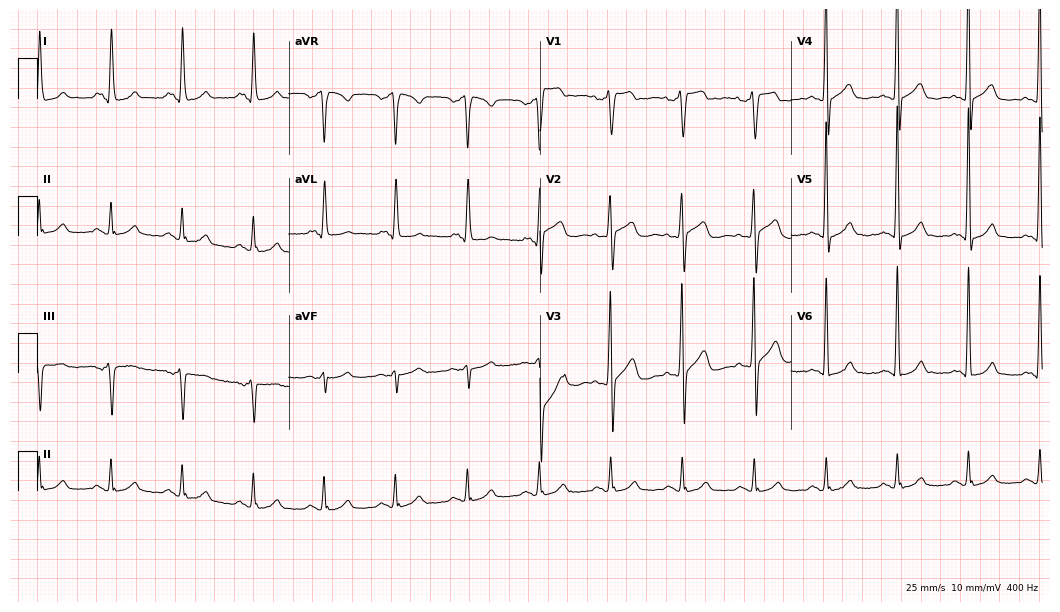
ECG — a male patient, 49 years old. Screened for six findings — first-degree AV block, right bundle branch block (RBBB), left bundle branch block (LBBB), sinus bradycardia, atrial fibrillation (AF), sinus tachycardia — none is recorded. Findings outside these six are not listed.